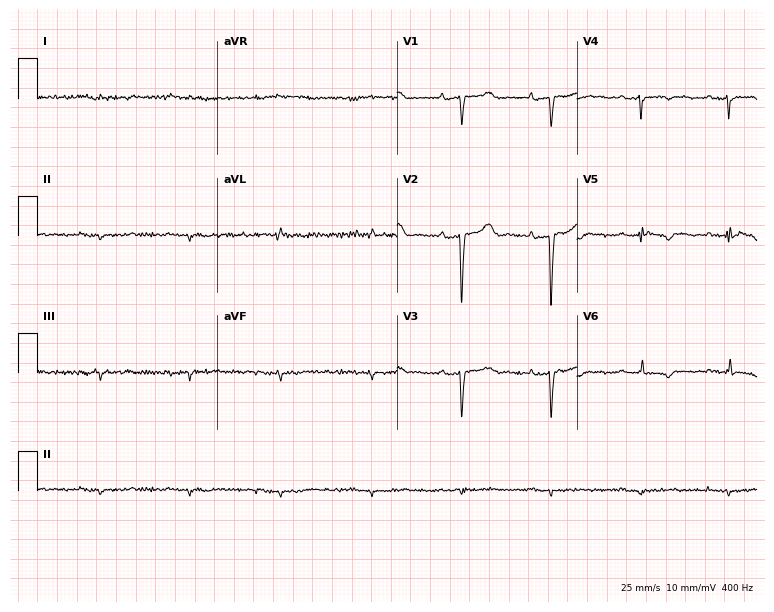
12-lead ECG from a male patient, 50 years old (7.3-second recording at 400 Hz). No first-degree AV block, right bundle branch block, left bundle branch block, sinus bradycardia, atrial fibrillation or sinus tachycardia recorded for this tracing. Only these six findings were labelled.